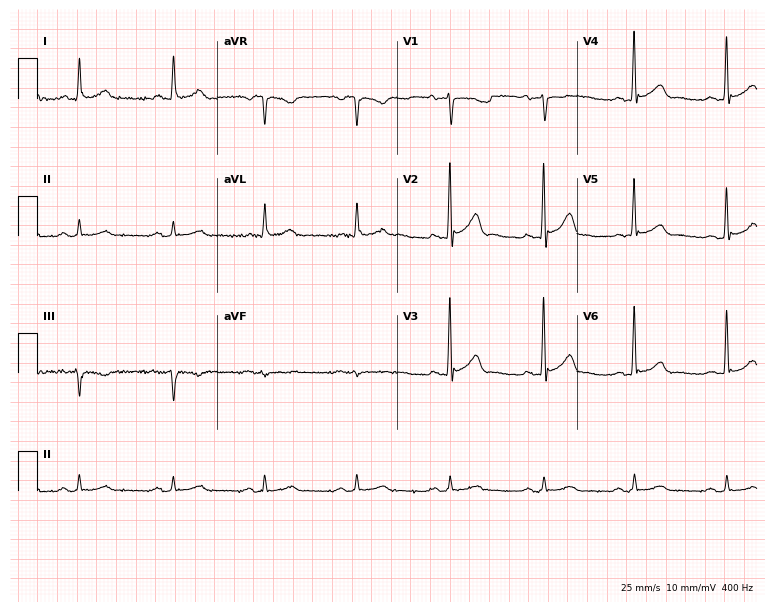
Electrocardiogram (7.3-second recording at 400 Hz), a 58-year-old male. Overall reading on record: normal ECG.